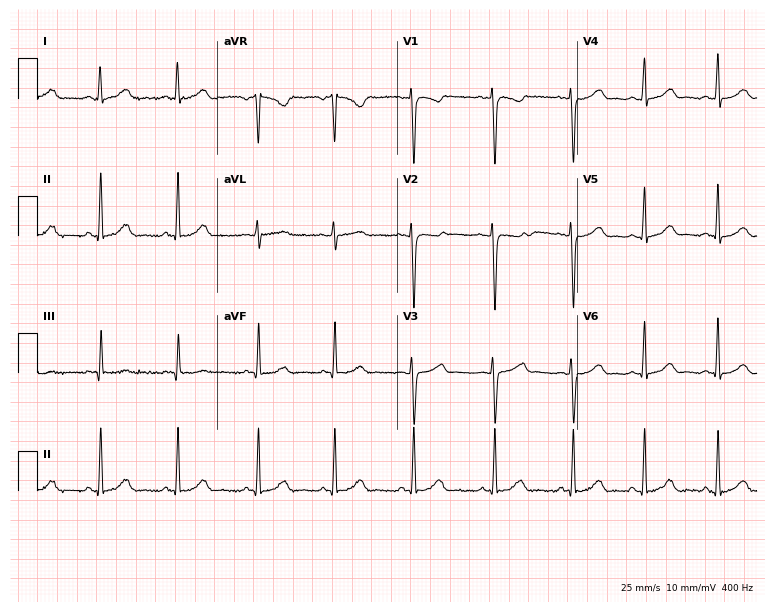
Electrocardiogram (7.3-second recording at 400 Hz), a 24-year-old woman. Overall reading on record: normal ECG.